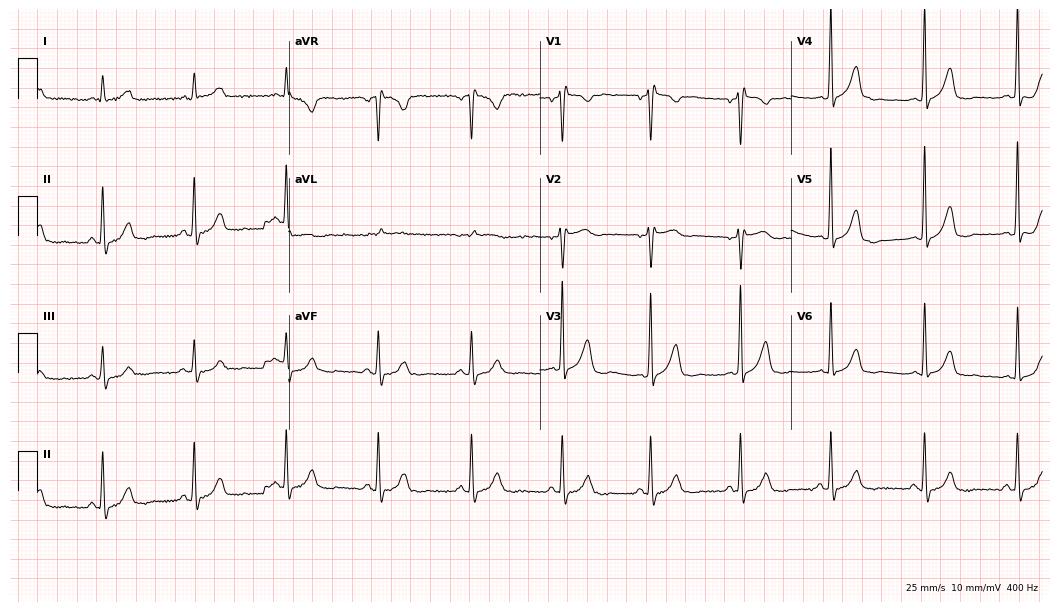
ECG — a man, 49 years old. Labelled as a normal ECG.